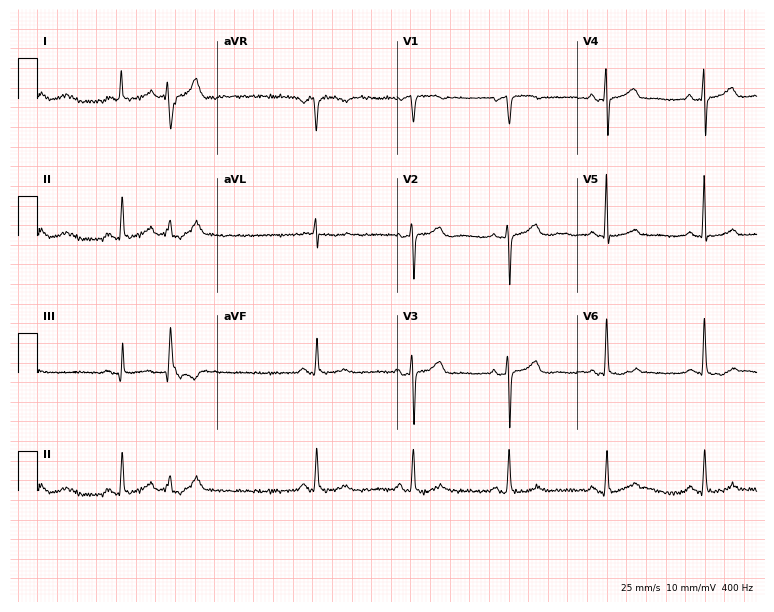
Standard 12-lead ECG recorded from a 73-year-old woman. None of these six findings is recorded: first-degree AV block, right bundle branch block (RBBB), left bundle branch block (LBBB), sinus bradycardia, atrial fibrillation (AF), sinus tachycardia.